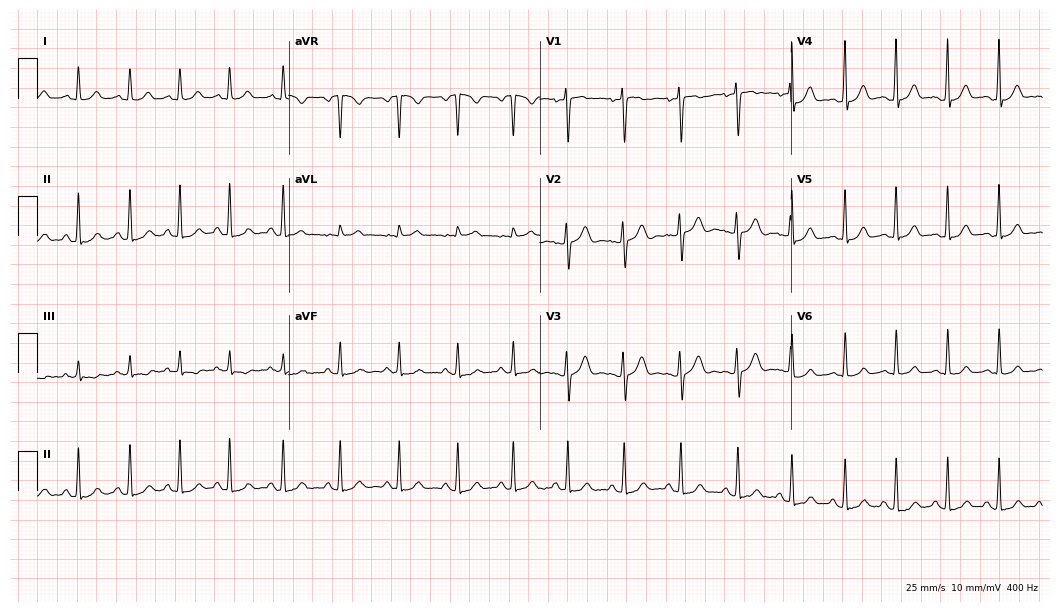
Electrocardiogram (10.2-second recording at 400 Hz), a female patient, 24 years old. Interpretation includes sinus tachycardia (a sinus rate of 100 beats per minute or more).